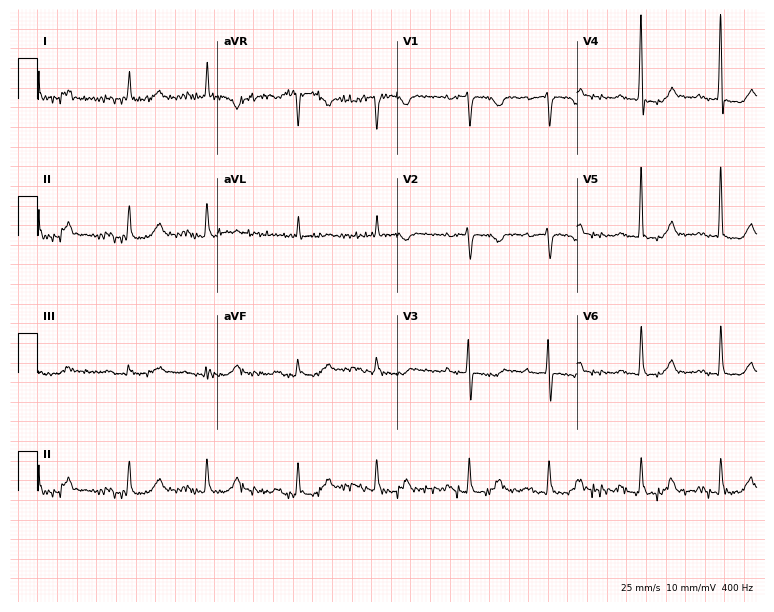
Electrocardiogram (7.3-second recording at 400 Hz), a female patient, 73 years old. Of the six screened findings (first-degree AV block, right bundle branch block (RBBB), left bundle branch block (LBBB), sinus bradycardia, atrial fibrillation (AF), sinus tachycardia), none is recorded. Only these six findings were labelled.